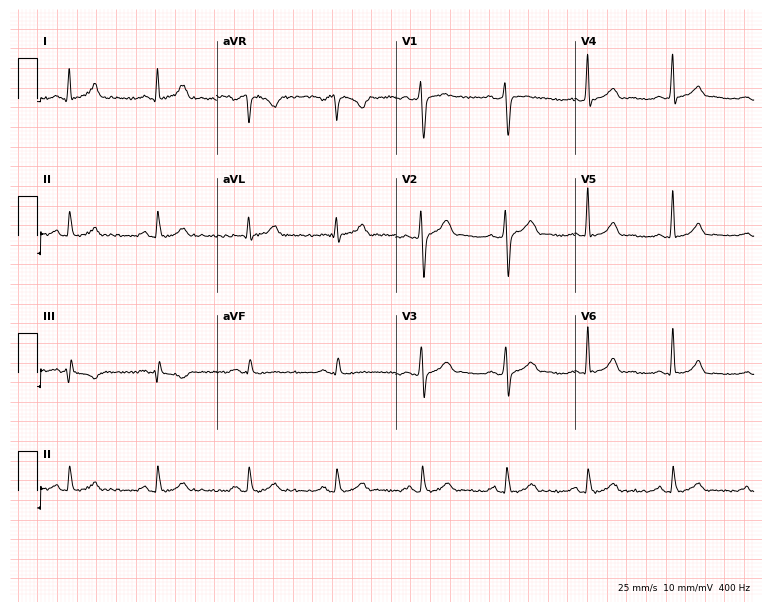
Resting 12-lead electrocardiogram. Patient: a man, 33 years old. Read as a normal ECG.